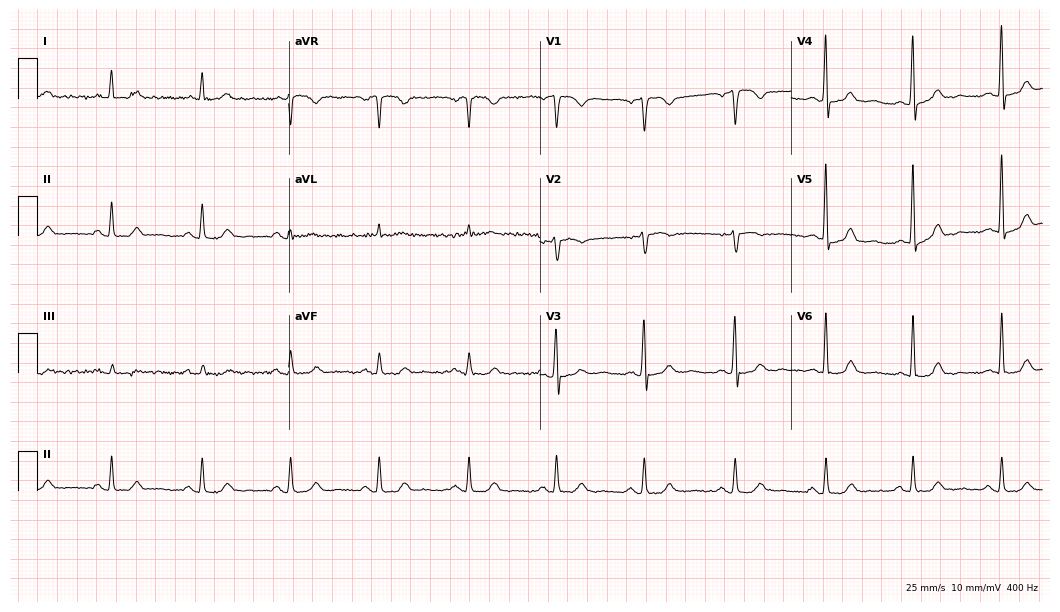
Electrocardiogram, an 80-year-old woman. Of the six screened findings (first-degree AV block, right bundle branch block (RBBB), left bundle branch block (LBBB), sinus bradycardia, atrial fibrillation (AF), sinus tachycardia), none is recorded.